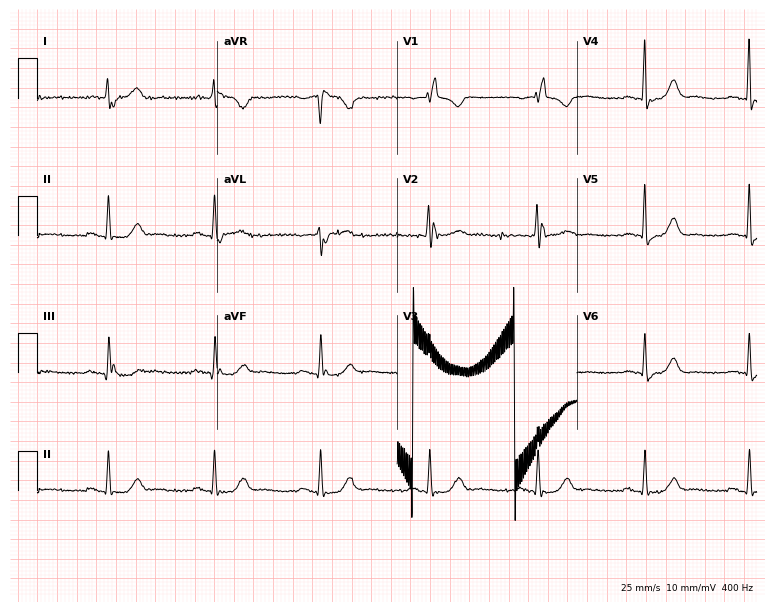
12-lead ECG from a woman, 79 years old. Screened for six findings — first-degree AV block, right bundle branch block (RBBB), left bundle branch block (LBBB), sinus bradycardia, atrial fibrillation (AF), sinus tachycardia — none is recorded.